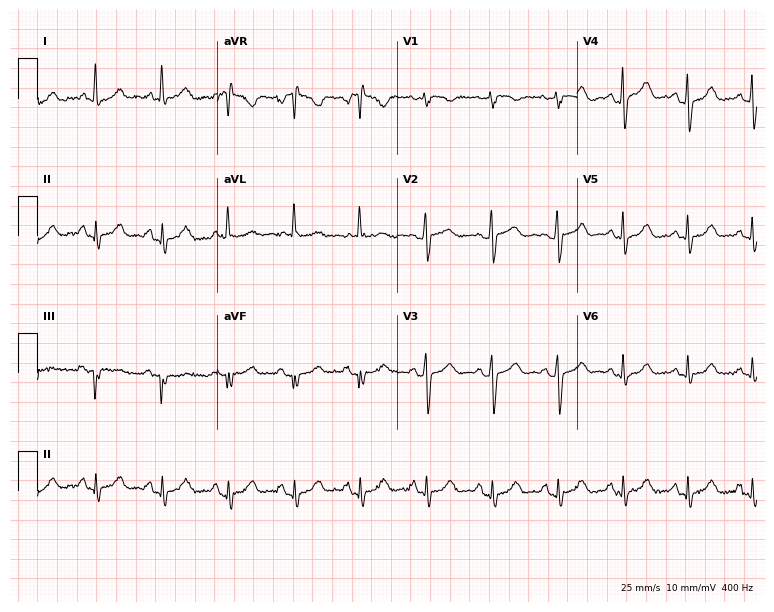
Resting 12-lead electrocardiogram. Patient: a woman, 70 years old. Read as a normal ECG.